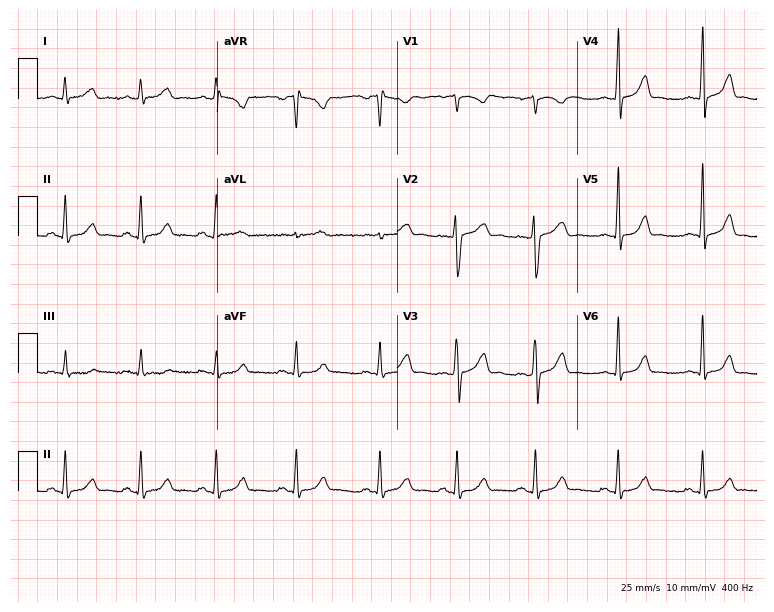
12-lead ECG from a female, 29 years old (7.3-second recording at 400 Hz). Recorded interpretation: within normal limits.